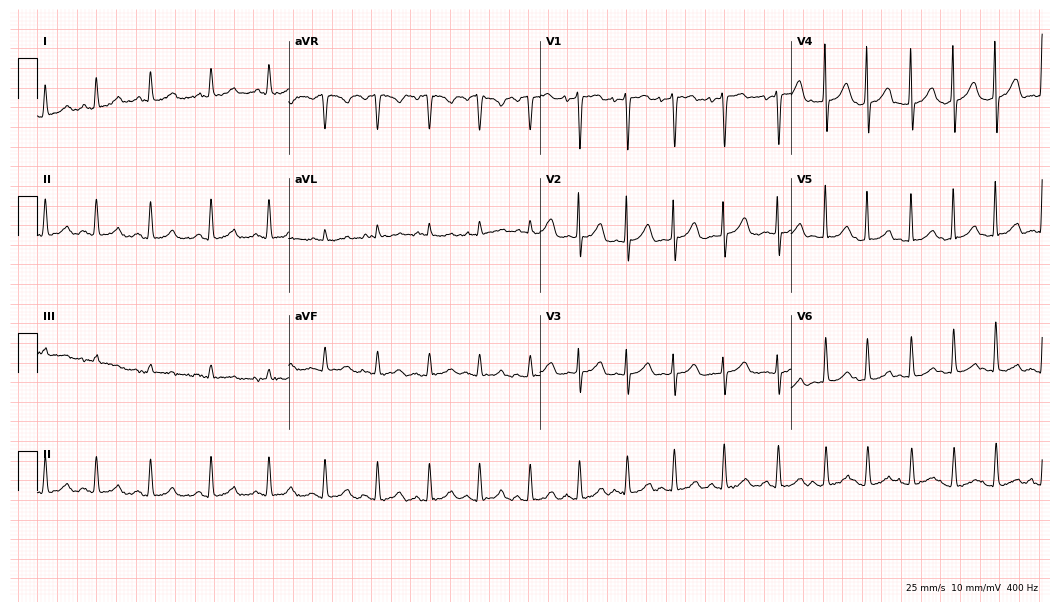
12-lead ECG (10.2-second recording at 400 Hz) from an 83-year-old female. Findings include sinus tachycardia (a sinus rate of 100 beats per minute or more).